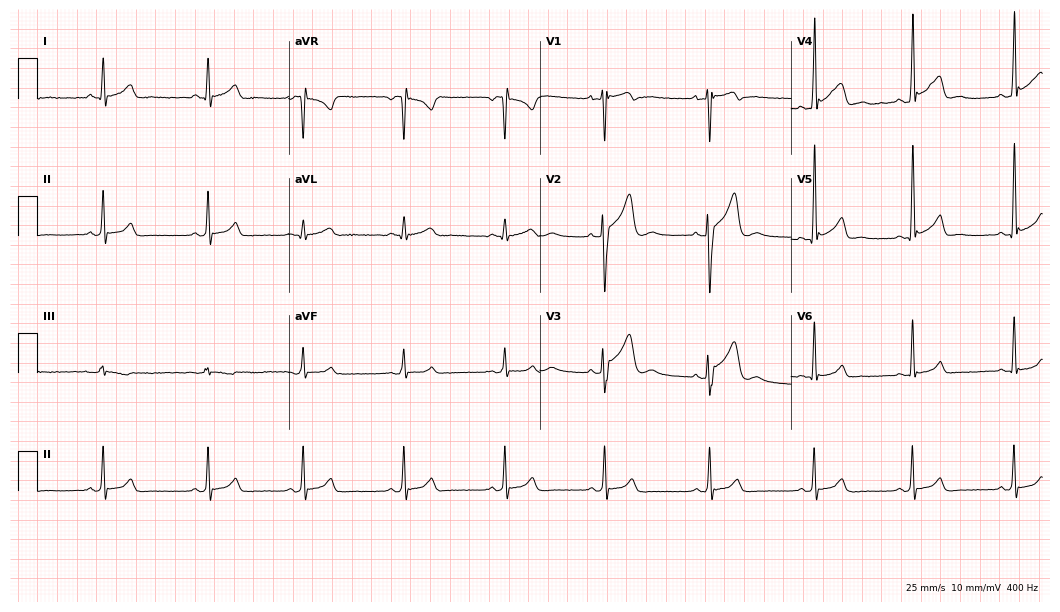
Standard 12-lead ECG recorded from a 21-year-old male patient (10.2-second recording at 400 Hz). None of these six findings is recorded: first-degree AV block, right bundle branch block (RBBB), left bundle branch block (LBBB), sinus bradycardia, atrial fibrillation (AF), sinus tachycardia. Only these six findings were labelled.